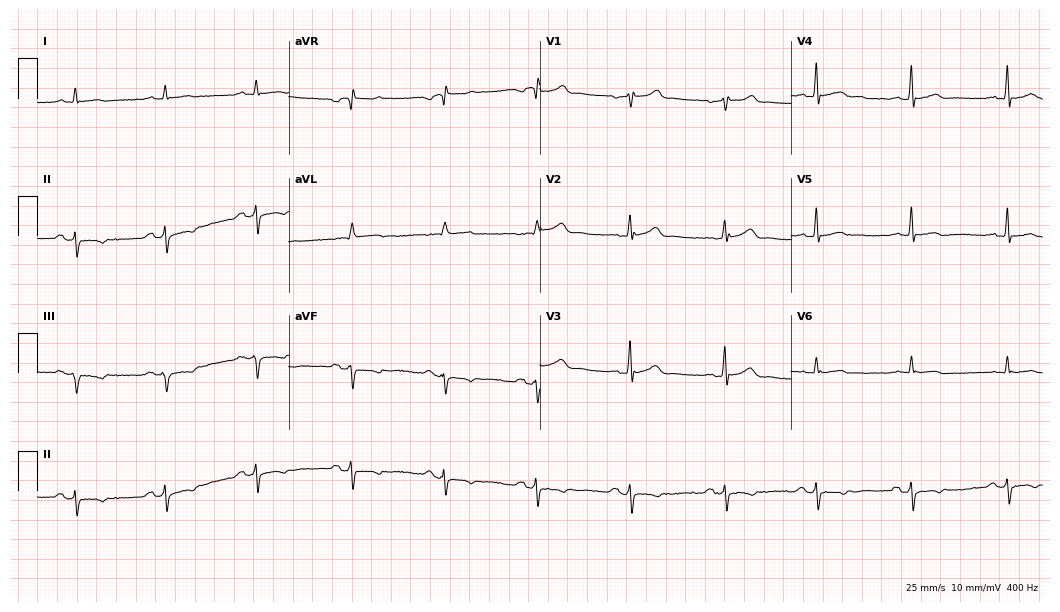
ECG (10.2-second recording at 400 Hz) — a male, 68 years old. Screened for six findings — first-degree AV block, right bundle branch block, left bundle branch block, sinus bradycardia, atrial fibrillation, sinus tachycardia — none is recorded.